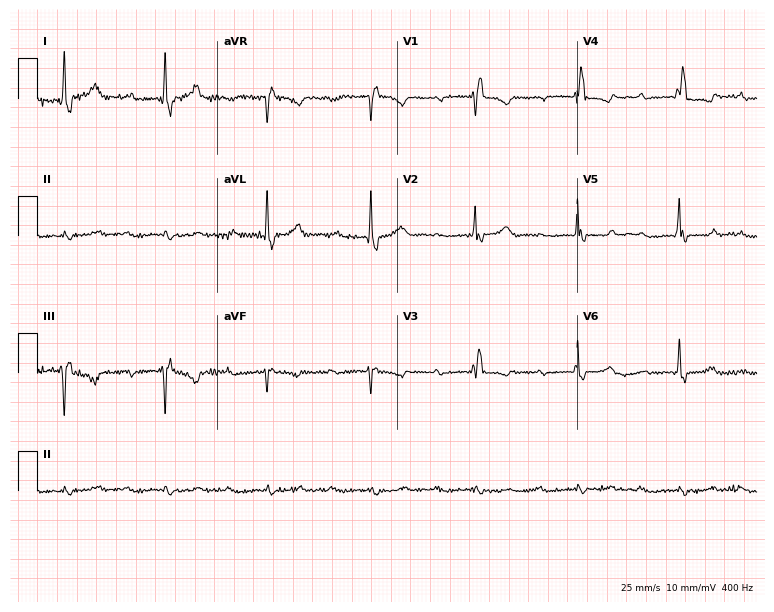
12-lead ECG from a female patient, 74 years old. Findings include right bundle branch block.